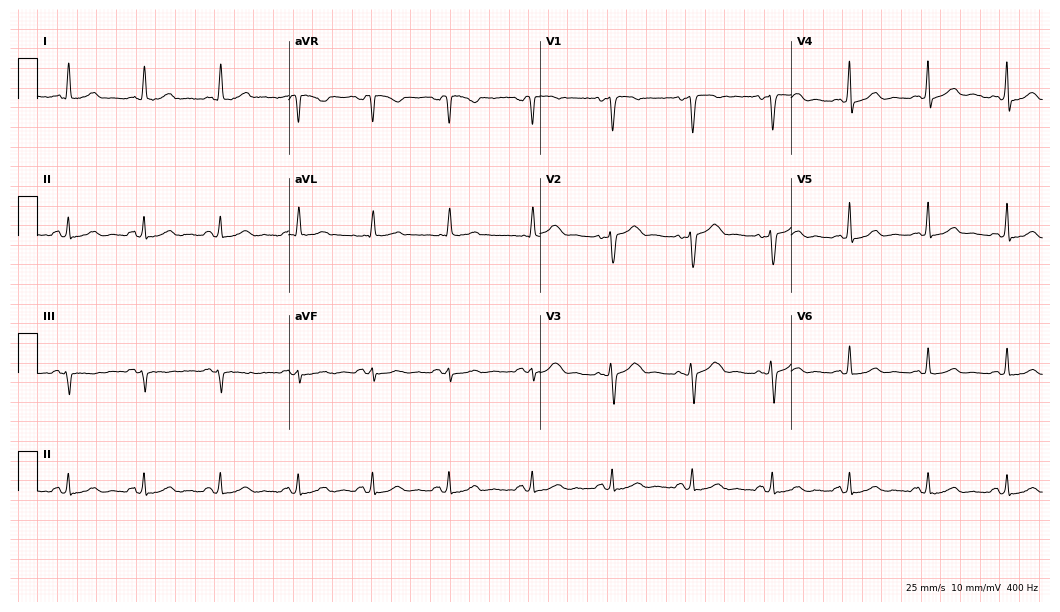
Resting 12-lead electrocardiogram. Patient: a female, 50 years old. Read as a normal ECG.